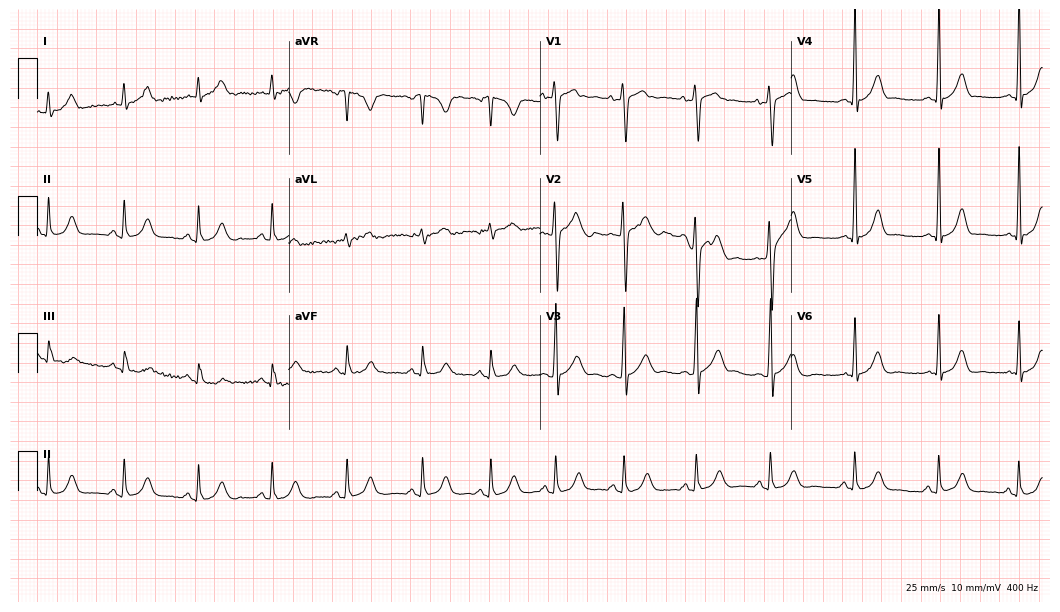
Standard 12-lead ECG recorded from a 17-year-old male. Read as a normal ECG.